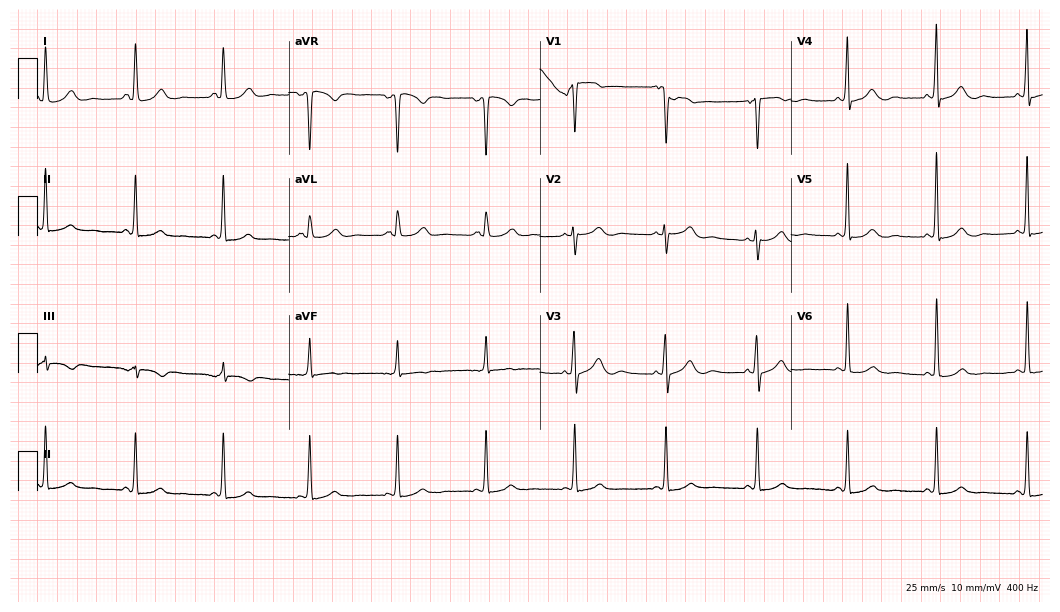
Resting 12-lead electrocardiogram (10.2-second recording at 400 Hz). Patient: a 67-year-old female. None of these six findings is recorded: first-degree AV block, right bundle branch block (RBBB), left bundle branch block (LBBB), sinus bradycardia, atrial fibrillation (AF), sinus tachycardia. Only these six findings were labelled.